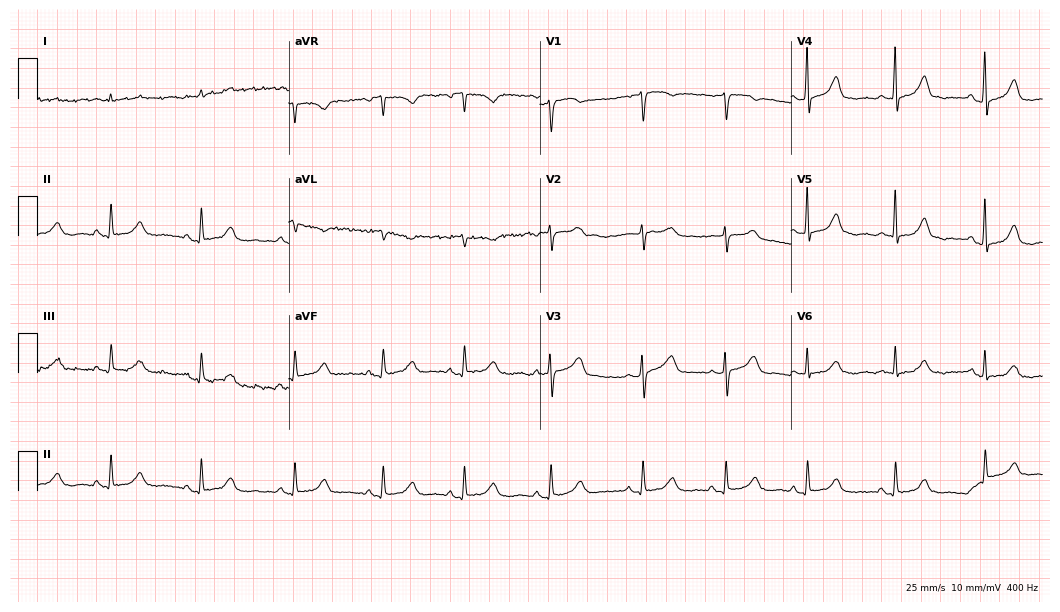
Electrocardiogram, a 57-year-old female patient. Of the six screened findings (first-degree AV block, right bundle branch block (RBBB), left bundle branch block (LBBB), sinus bradycardia, atrial fibrillation (AF), sinus tachycardia), none is recorded.